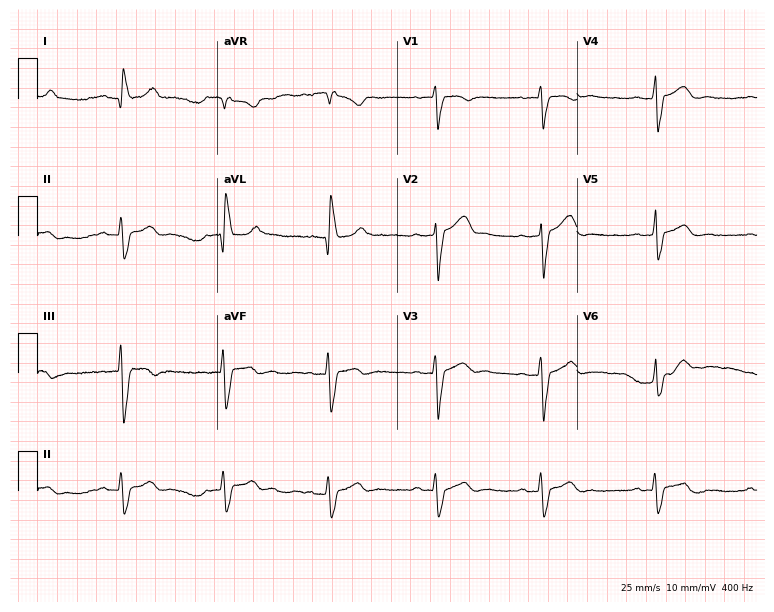
12-lead ECG (7.3-second recording at 400 Hz) from a female patient, 33 years old. Findings include left bundle branch block.